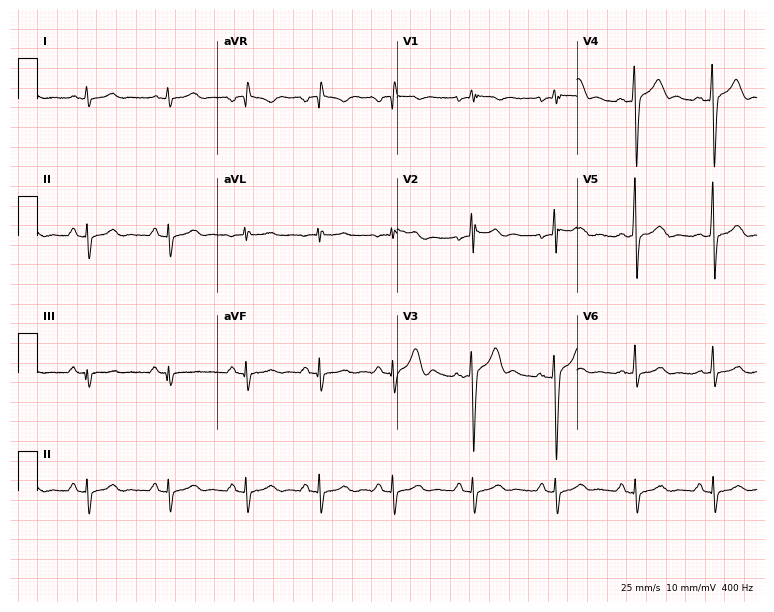
12-lead ECG from a 19-year-old man. No first-degree AV block, right bundle branch block, left bundle branch block, sinus bradycardia, atrial fibrillation or sinus tachycardia recorded for this tracing. Findings outside these six are not listed.